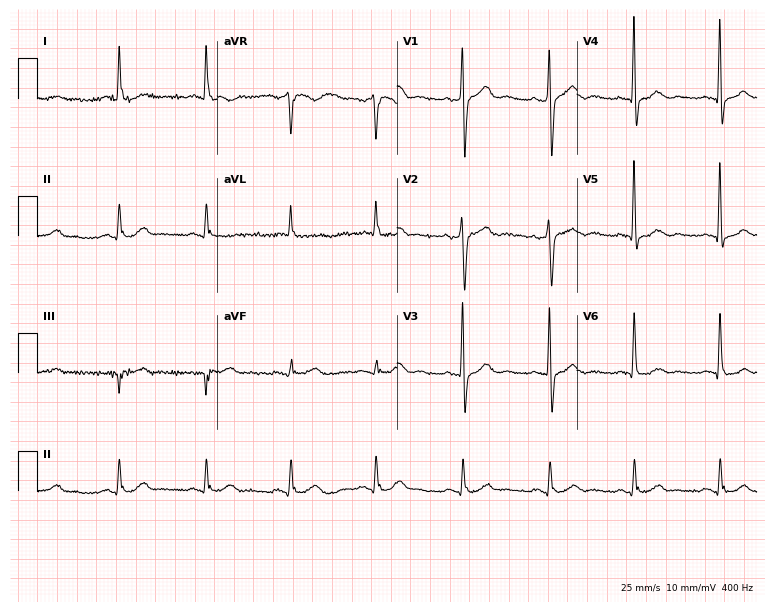
Standard 12-lead ECG recorded from a 61-year-old man (7.3-second recording at 400 Hz). None of these six findings is recorded: first-degree AV block, right bundle branch block, left bundle branch block, sinus bradycardia, atrial fibrillation, sinus tachycardia. Only these six findings were labelled.